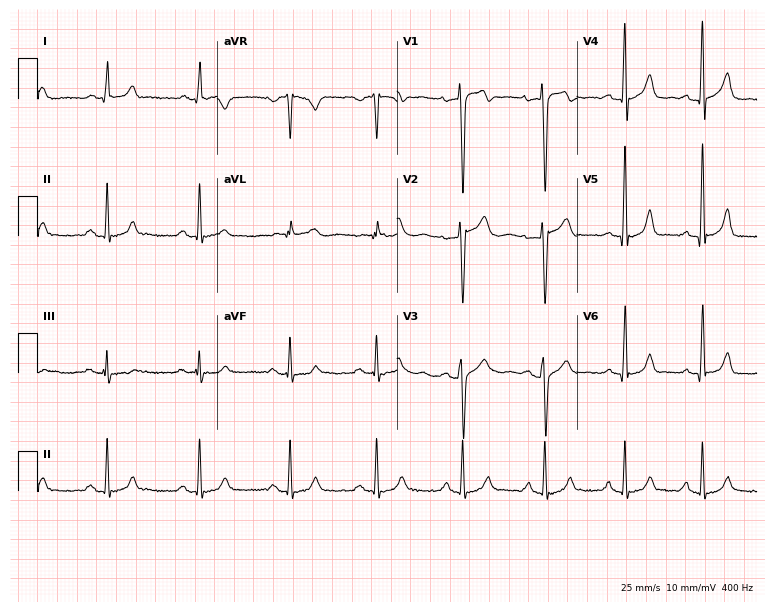
Electrocardiogram, a male, 35 years old. Overall reading on record: normal ECG.